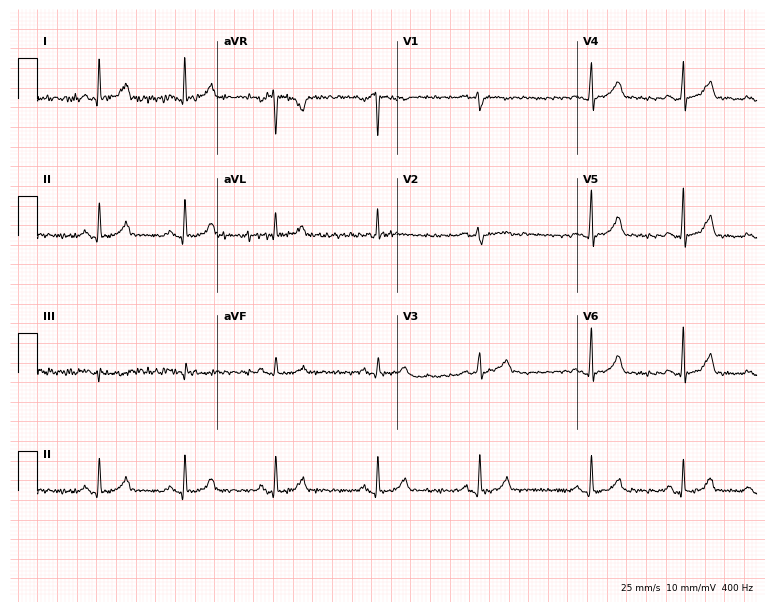
12-lead ECG (7.3-second recording at 400 Hz) from a female, 32 years old. Screened for six findings — first-degree AV block, right bundle branch block, left bundle branch block, sinus bradycardia, atrial fibrillation, sinus tachycardia — none is recorded. Only these six findings were labelled.